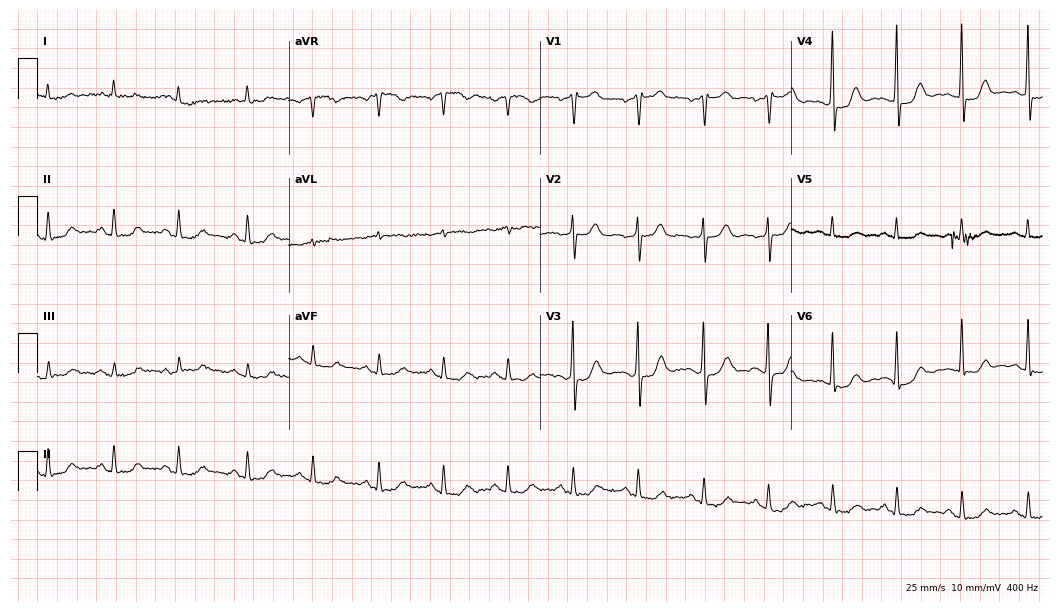
12-lead ECG from a male patient, 76 years old (10.2-second recording at 400 Hz). Recorded interpretation: within normal limits.